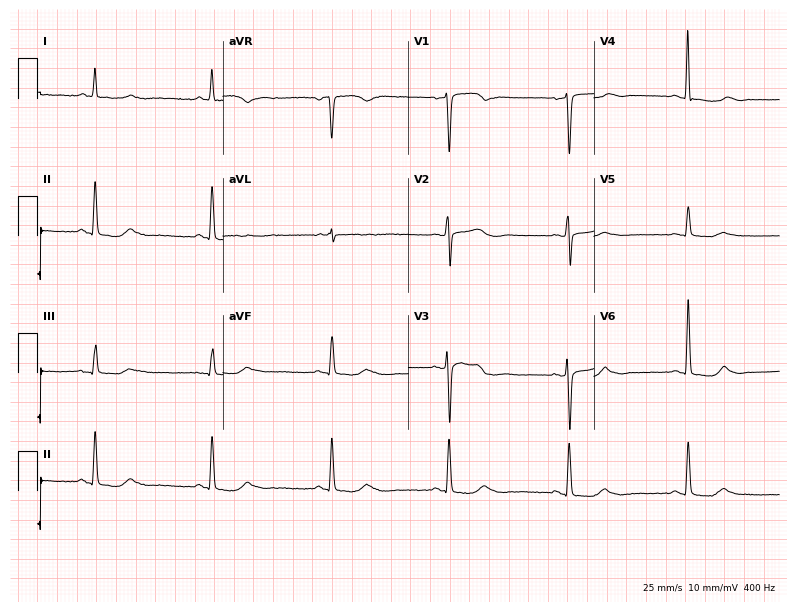
Standard 12-lead ECG recorded from an 81-year-old woman (7.6-second recording at 400 Hz). The tracing shows sinus bradycardia (a sinus rate of 50 beats per minute or less).